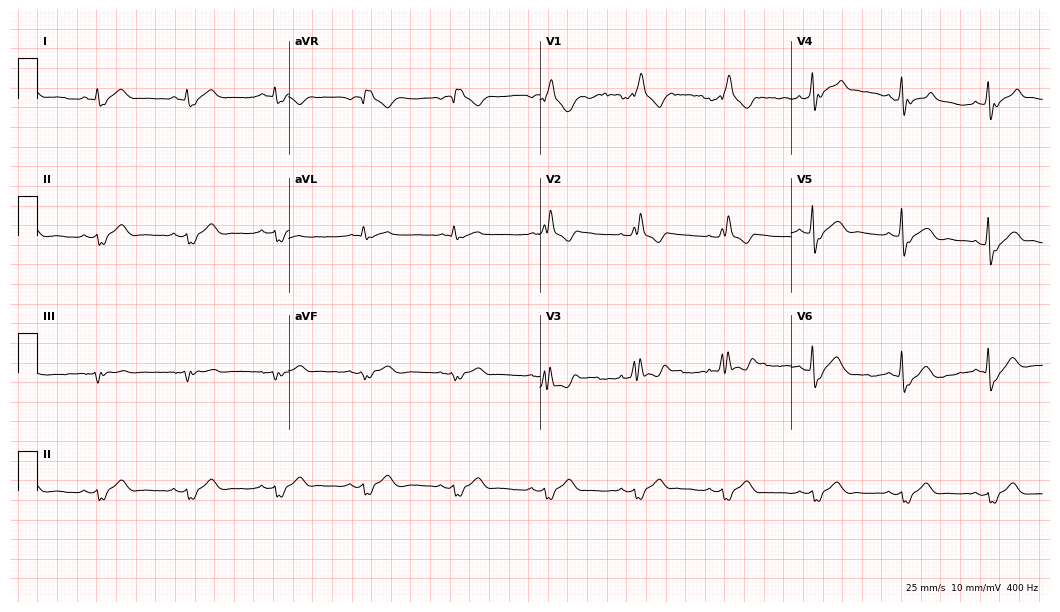
Electrocardiogram (10.2-second recording at 400 Hz), a man, 69 years old. Interpretation includes right bundle branch block (RBBB).